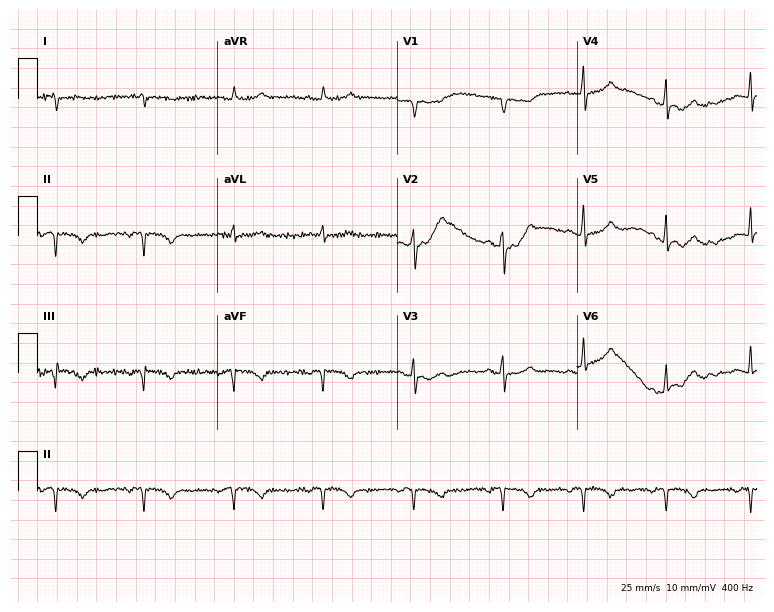
ECG — a woman, 52 years old. Screened for six findings — first-degree AV block, right bundle branch block, left bundle branch block, sinus bradycardia, atrial fibrillation, sinus tachycardia — none is recorded. Only these six findings were labelled.